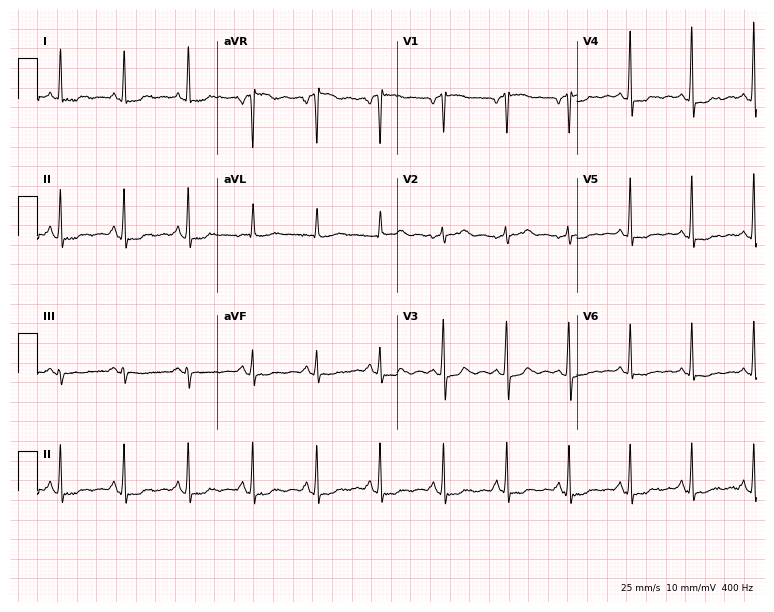
12-lead ECG (7.3-second recording at 400 Hz) from a female, 66 years old. Screened for six findings — first-degree AV block, right bundle branch block, left bundle branch block, sinus bradycardia, atrial fibrillation, sinus tachycardia — none is recorded.